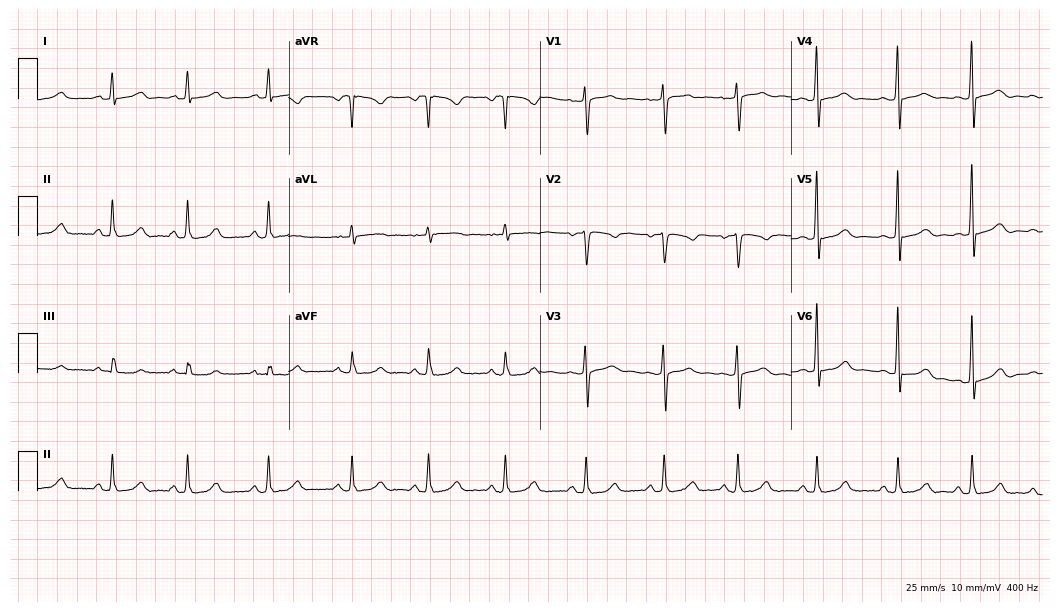
ECG — a 41-year-old female patient. Screened for six findings — first-degree AV block, right bundle branch block, left bundle branch block, sinus bradycardia, atrial fibrillation, sinus tachycardia — none is recorded. Only these six findings were labelled.